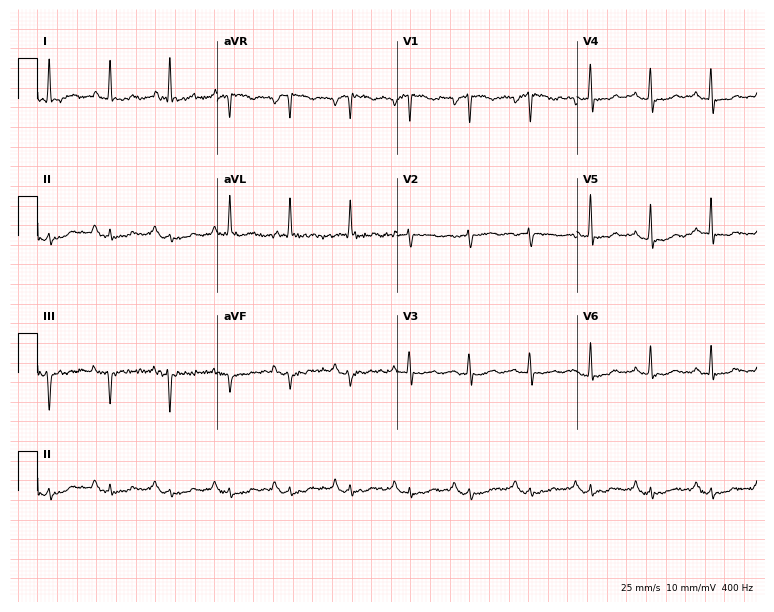
ECG — a 70-year-old man. Screened for six findings — first-degree AV block, right bundle branch block (RBBB), left bundle branch block (LBBB), sinus bradycardia, atrial fibrillation (AF), sinus tachycardia — none is recorded.